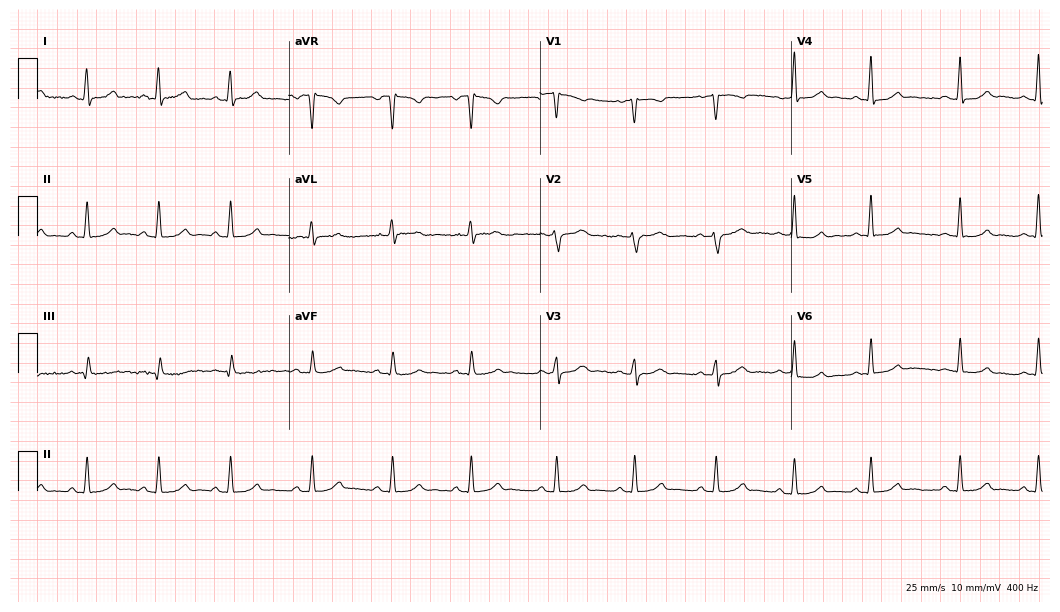
Electrocardiogram (10.2-second recording at 400 Hz), a 47-year-old female. Overall reading on record: normal ECG.